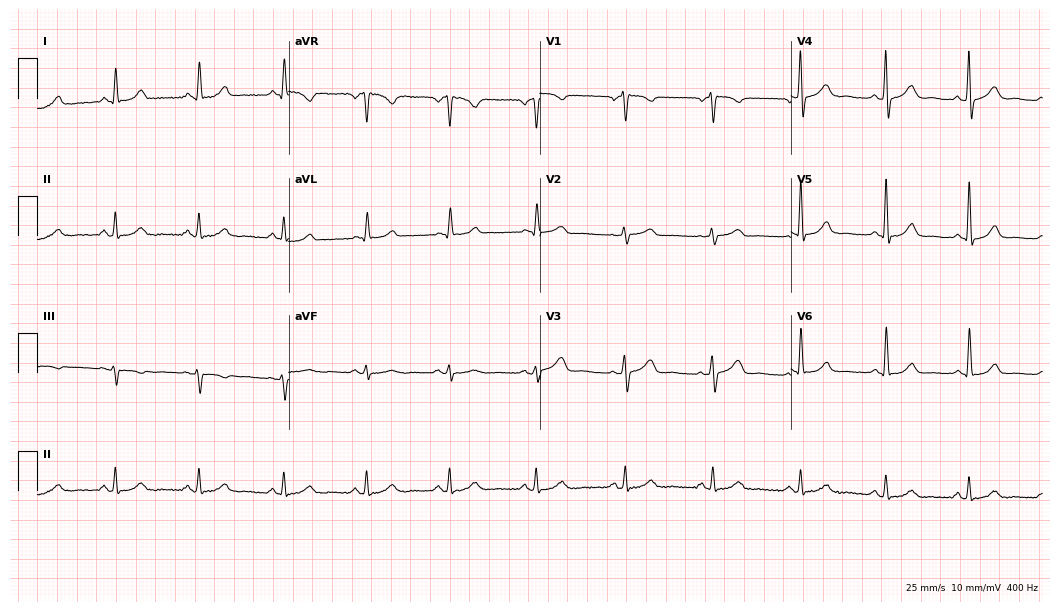
Electrocardiogram, a 48-year-old male patient. Overall reading on record: normal ECG.